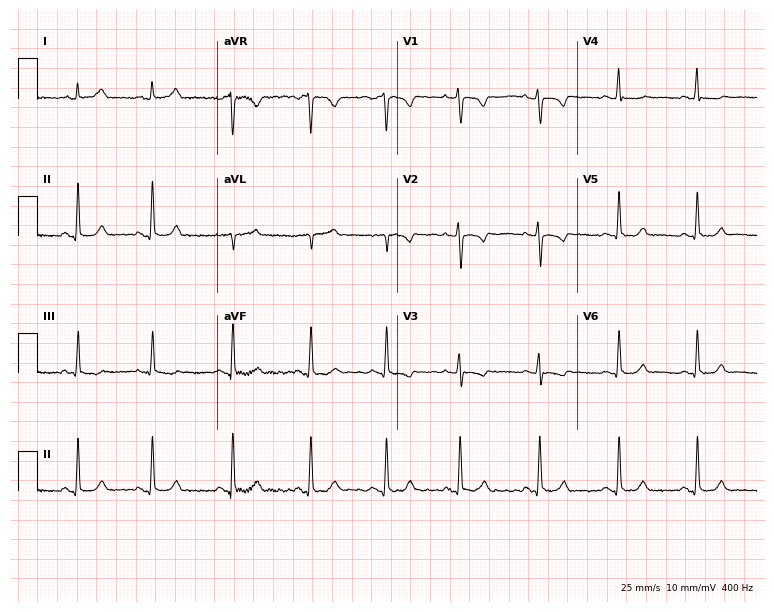
ECG — a female patient, 23 years old. Screened for six findings — first-degree AV block, right bundle branch block (RBBB), left bundle branch block (LBBB), sinus bradycardia, atrial fibrillation (AF), sinus tachycardia — none is recorded.